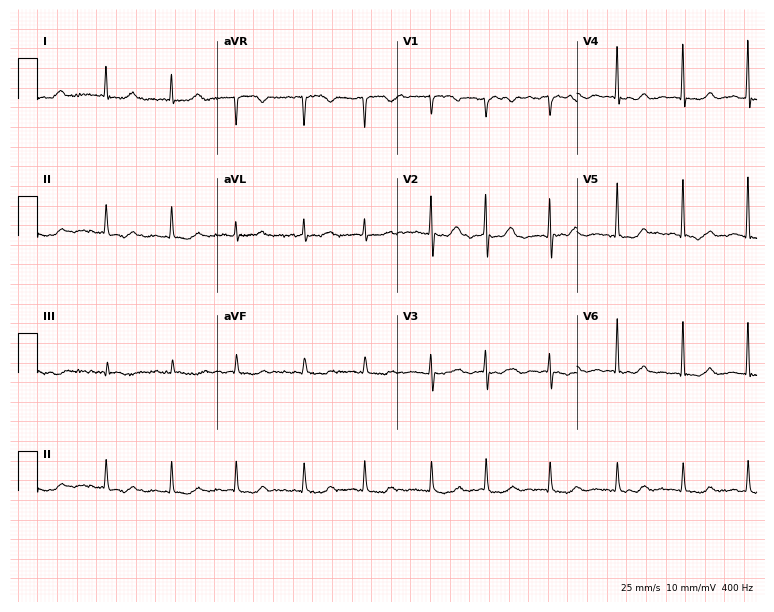
Electrocardiogram, a female, 81 years old. Interpretation includes atrial fibrillation (AF).